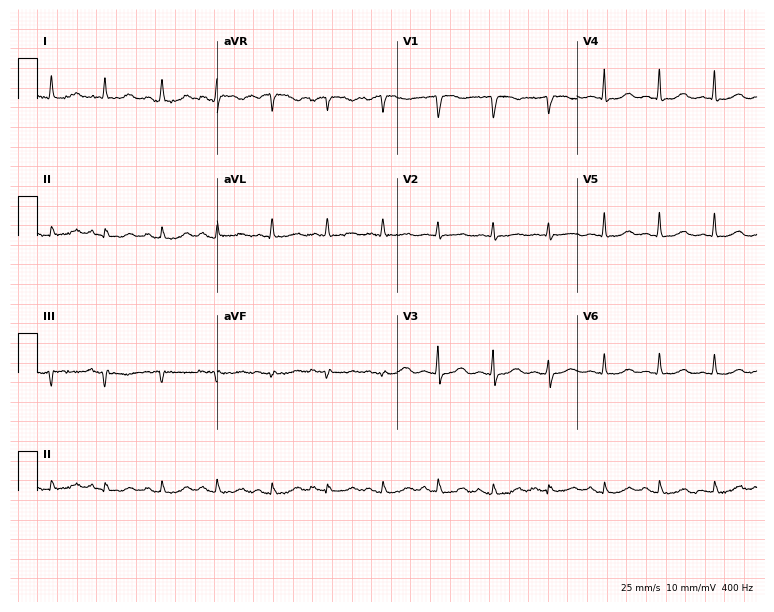
Resting 12-lead electrocardiogram. Patient: a woman, 85 years old. The tracing shows sinus tachycardia (a sinus rate of 100 beats per minute or more).